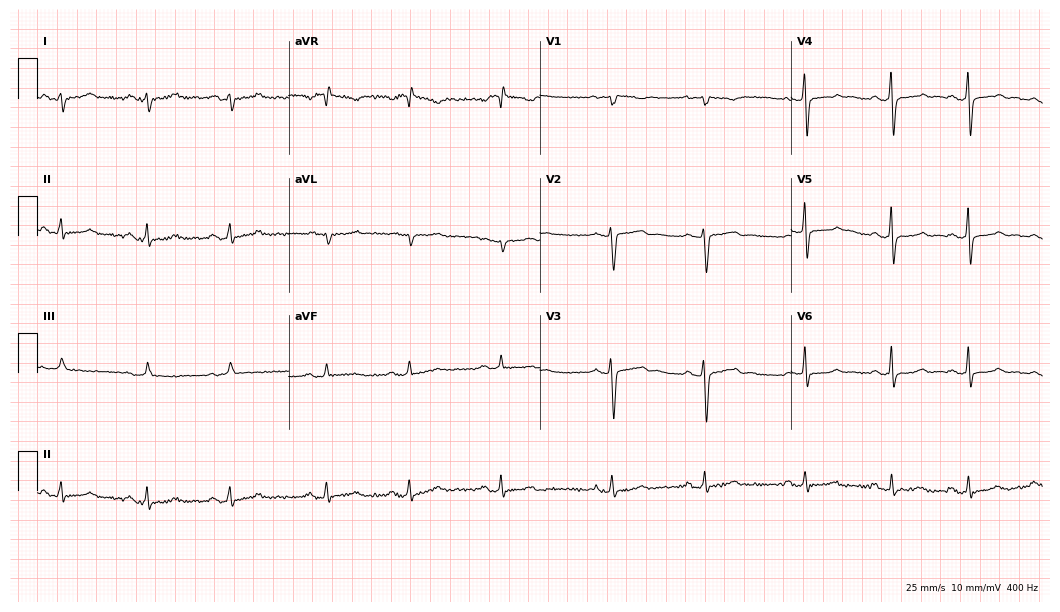
Electrocardiogram, a female, 17 years old. Overall reading on record: normal ECG.